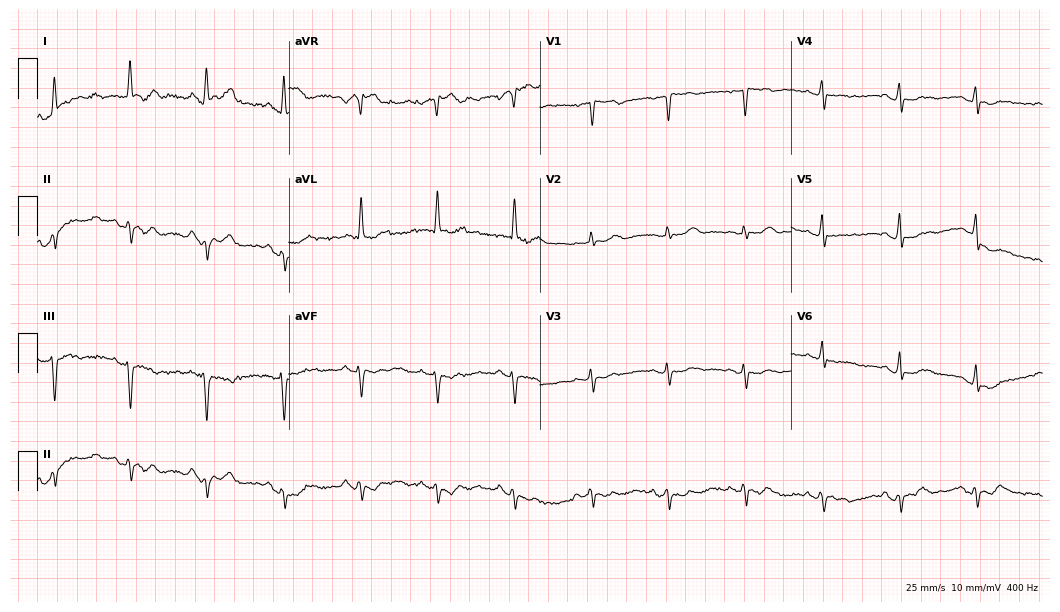
ECG (10.2-second recording at 400 Hz) — a woman, 72 years old. Screened for six findings — first-degree AV block, right bundle branch block, left bundle branch block, sinus bradycardia, atrial fibrillation, sinus tachycardia — none is recorded. Only these six findings were labelled.